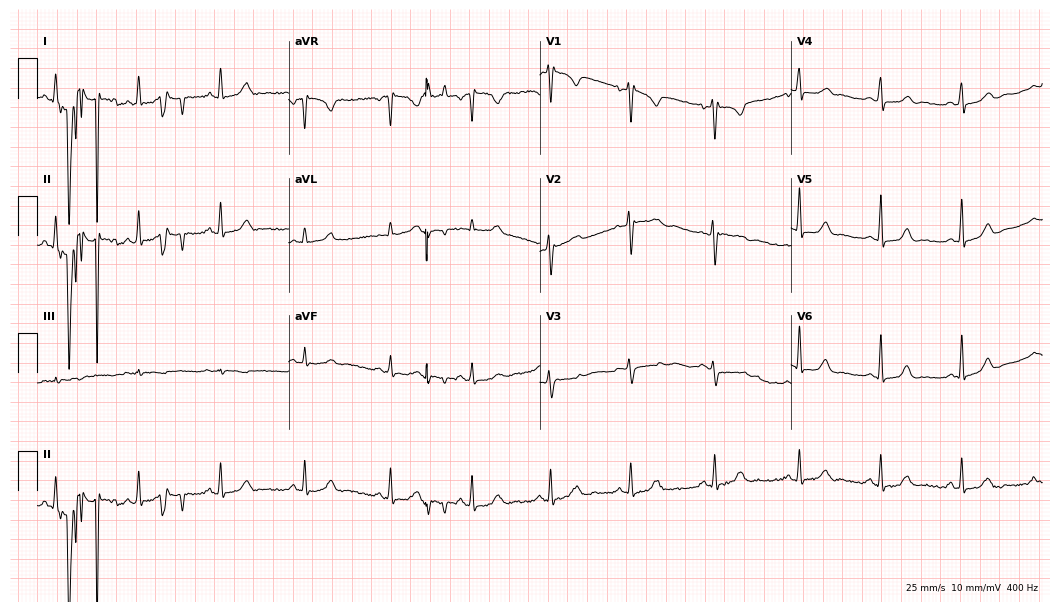
ECG (10.2-second recording at 400 Hz) — a 32-year-old woman. Screened for six findings — first-degree AV block, right bundle branch block, left bundle branch block, sinus bradycardia, atrial fibrillation, sinus tachycardia — none is recorded.